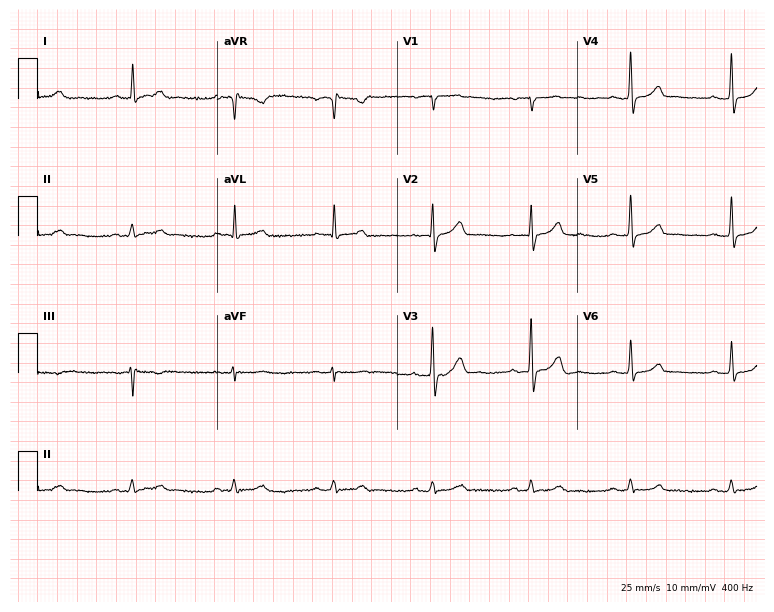
12-lead ECG from a male, 82 years old. Recorded interpretation: within normal limits.